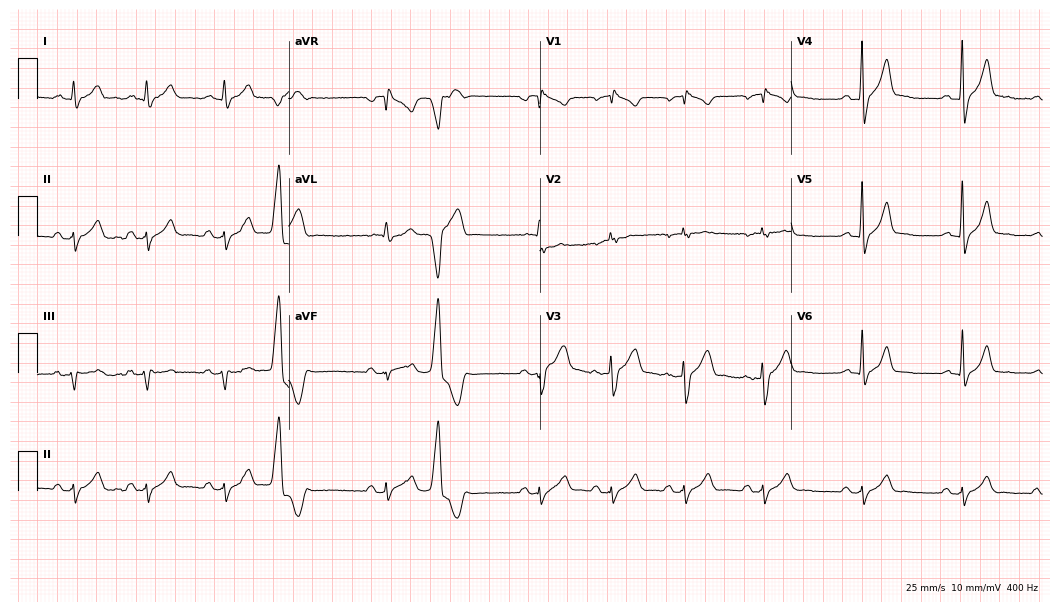
Resting 12-lead electrocardiogram (10.2-second recording at 400 Hz). Patient: a male, 51 years old. None of these six findings is recorded: first-degree AV block, right bundle branch block, left bundle branch block, sinus bradycardia, atrial fibrillation, sinus tachycardia.